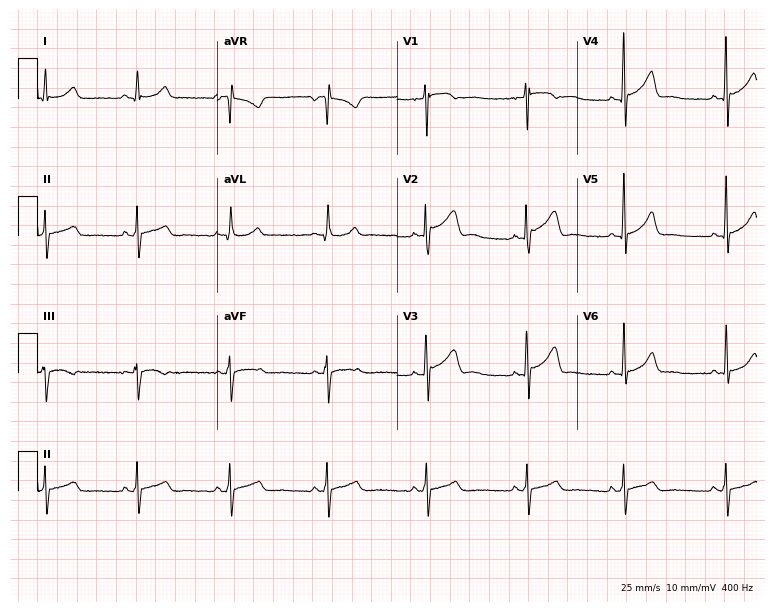
12-lead ECG from a male patient, 25 years old. Labelled as a normal ECG.